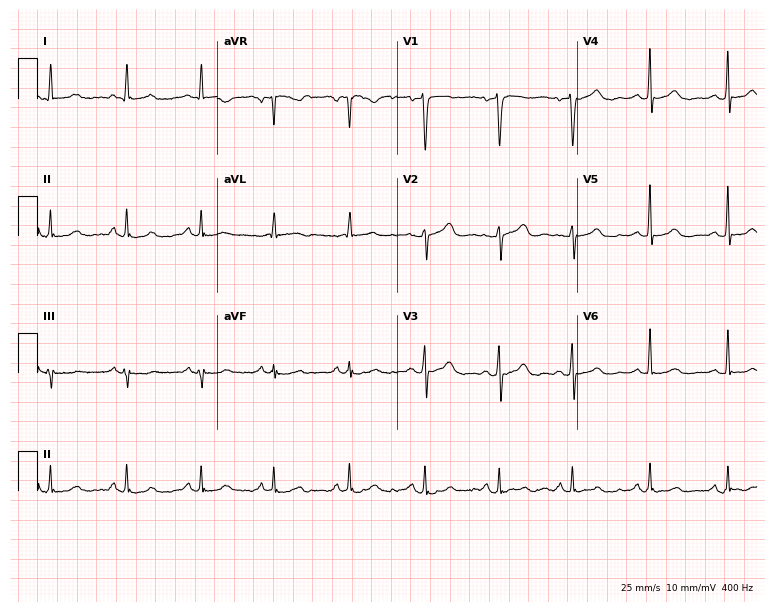
ECG — a 58-year-old female. Labelled as a normal ECG.